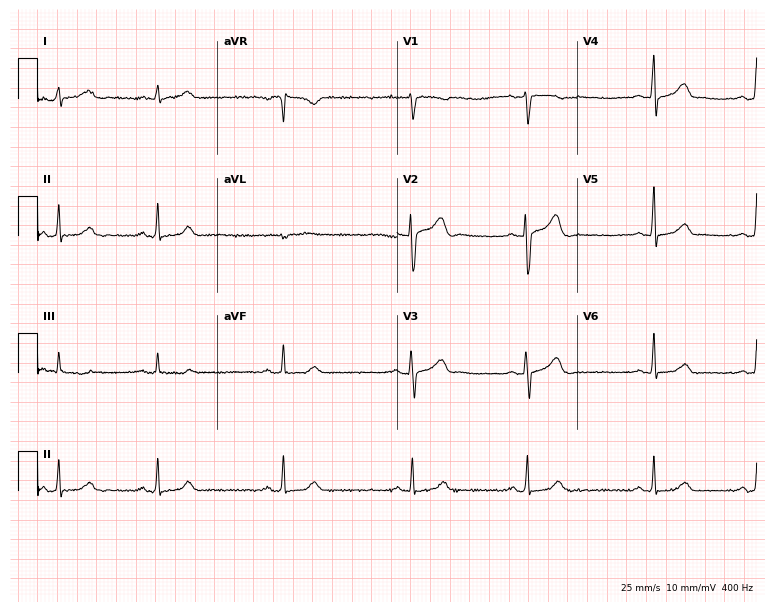
Electrocardiogram, a female patient, 23 years old. Interpretation includes sinus bradycardia (a sinus rate of 50 beats per minute or less).